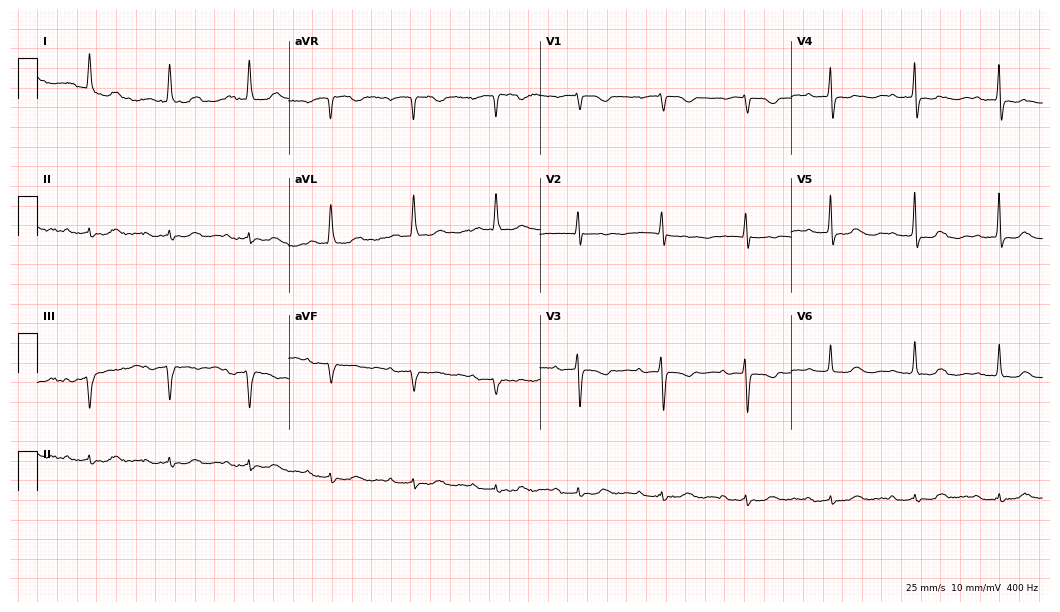
12-lead ECG (10.2-second recording at 400 Hz) from an 84-year-old woman. Findings include first-degree AV block.